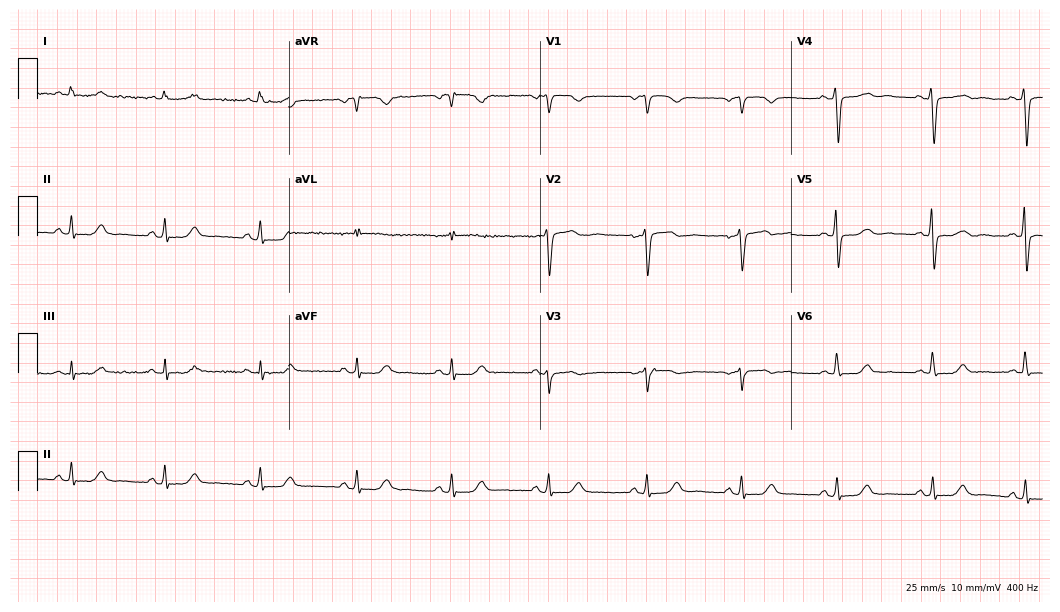
ECG — a female, 63 years old. Screened for six findings — first-degree AV block, right bundle branch block, left bundle branch block, sinus bradycardia, atrial fibrillation, sinus tachycardia — none is recorded.